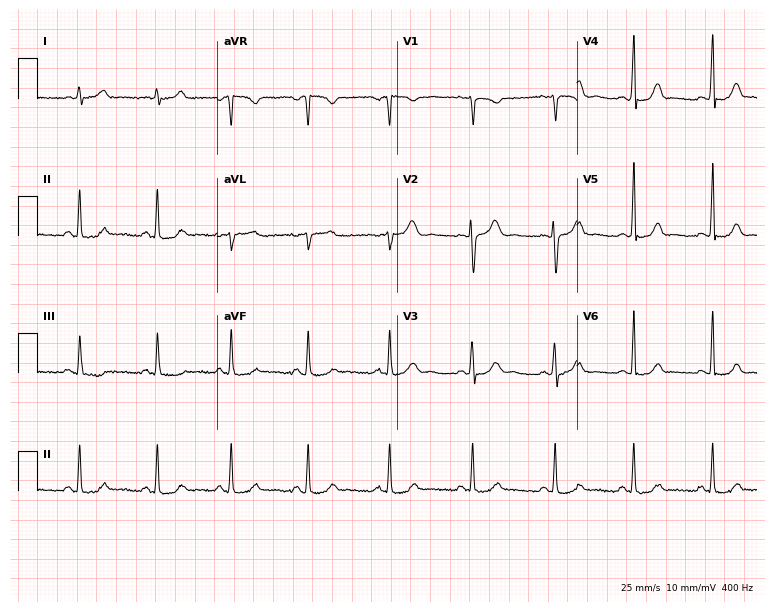
ECG (7.3-second recording at 400 Hz) — a female patient, 30 years old. Screened for six findings — first-degree AV block, right bundle branch block, left bundle branch block, sinus bradycardia, atrial fibrillation, sinus tachycardia — none is recorded.